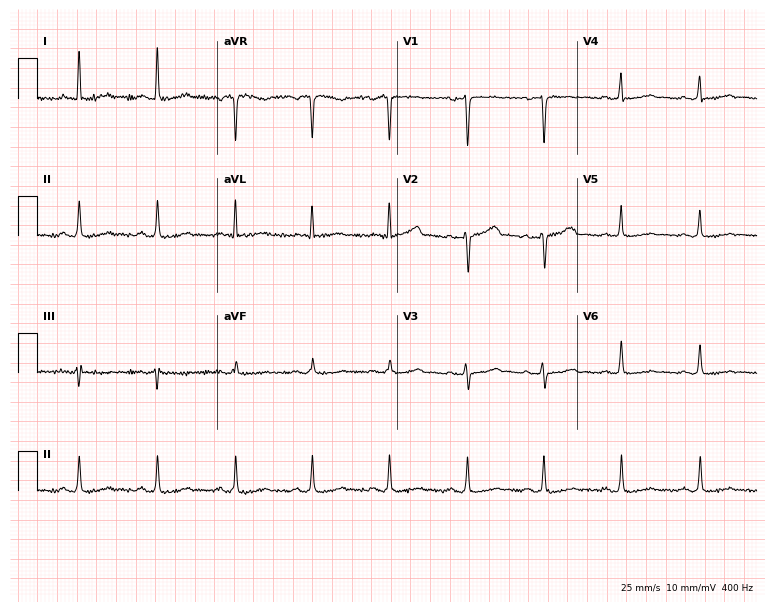
ECG — a female, 47 years old. Screened for six findings — first-degree AV block, right bundle branch block (RBBB), left bundle branch block (LBBB), sinus bradycardia, atrial fibrillation (AF), sinus tachycardia — none is recorded.